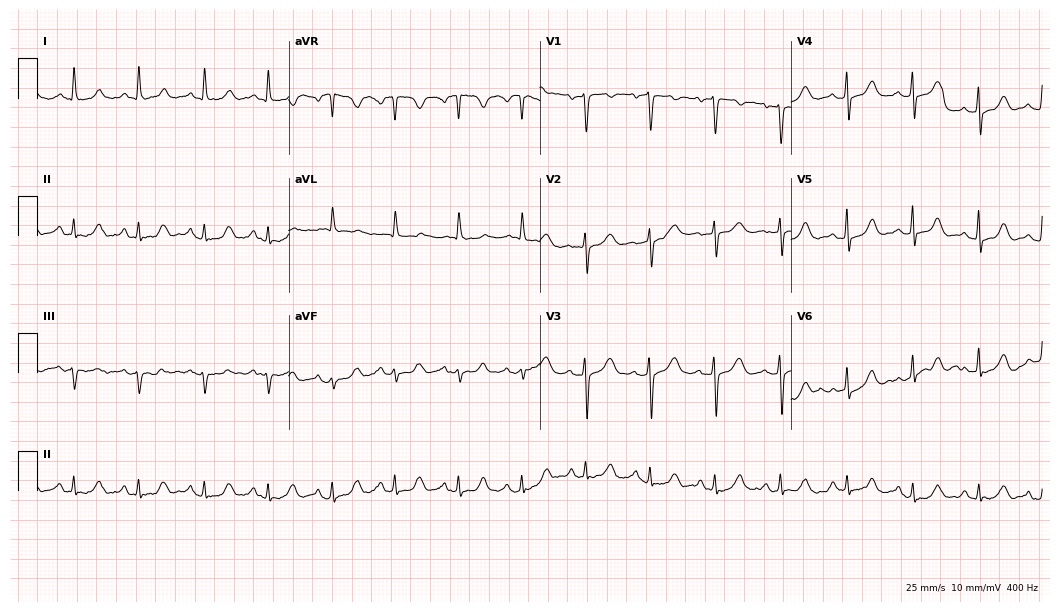
Standard 12-lead ECG recorded from a 71-year-old woman. None of these six findings is recorded: first-degree AV block, right bundle branch block, left bundle branch block, sinus bradycardia, atrial fibrillation, sinus tachycardia.